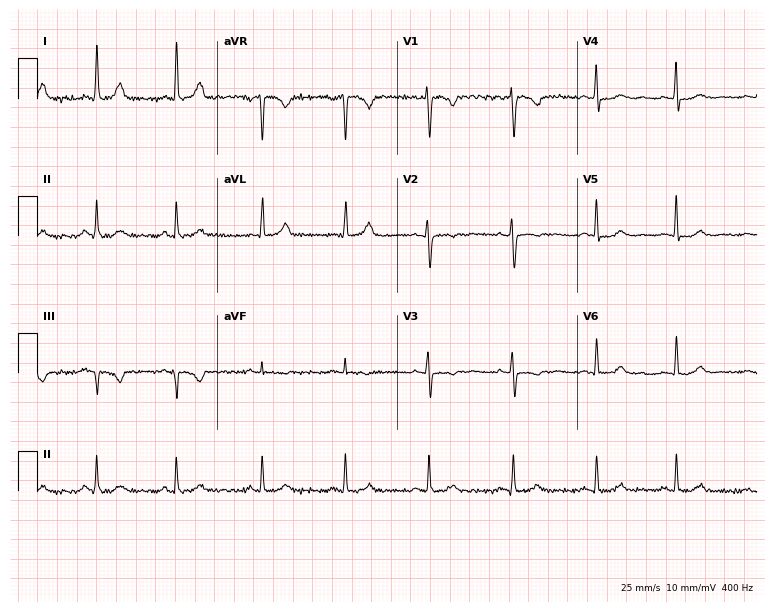
12-lead ECG from a 43-year-old woman (7.3-second recording at 400 Hz). No first-degree AV block, right bundle branch block, left bundle branch block, sinus bradycardia, atrial fibrillation or sinus tachycardia recorded for this tracing. Only these six findings were labelled.